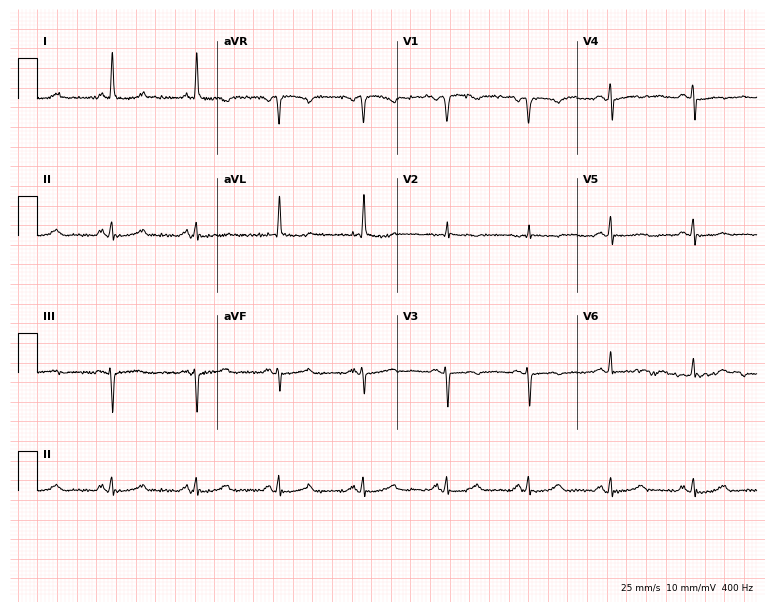
12-lead ECG (7.3-second recording at 400 Hz) from a woman, 84 years old. Screened for six findings — first-degree AV block, right bundle branch block, left bundle branch block, sinus bradycardia, atrial fibrillation, sinus tachycardia — none is recorded.